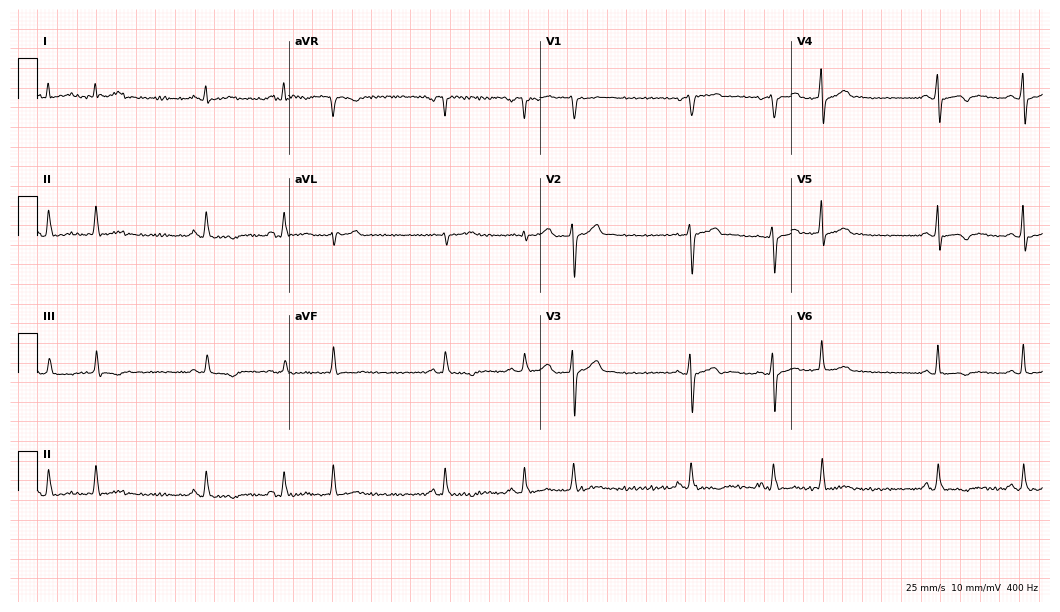
12-lead ECG from a 50-year-old male patient. Recorded interpretation: within normal limits.